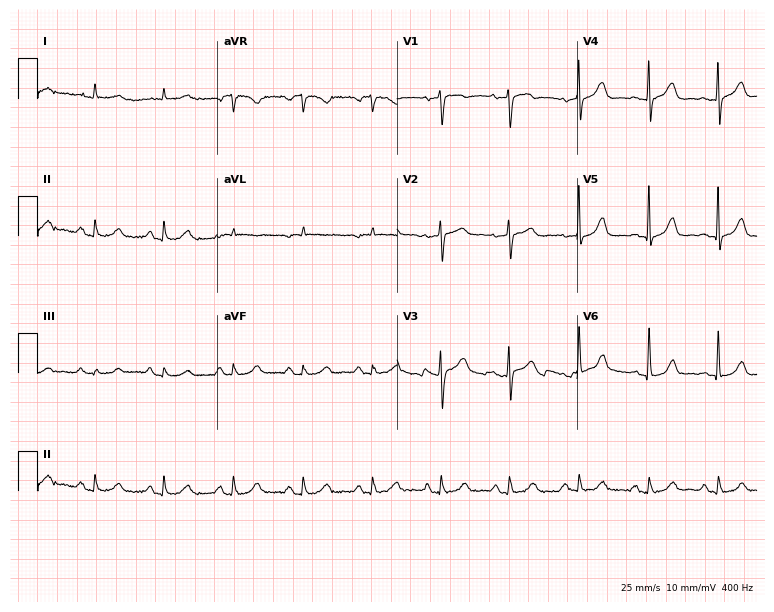
Standard 12-lead ECG recorded from a female patient, 74 years old. None of these six findings is recorded: first-degree AV block, right bundle branch block, left bundle branch block, sinus bradycardia, atrial fibrillation, sinus tachycardia.